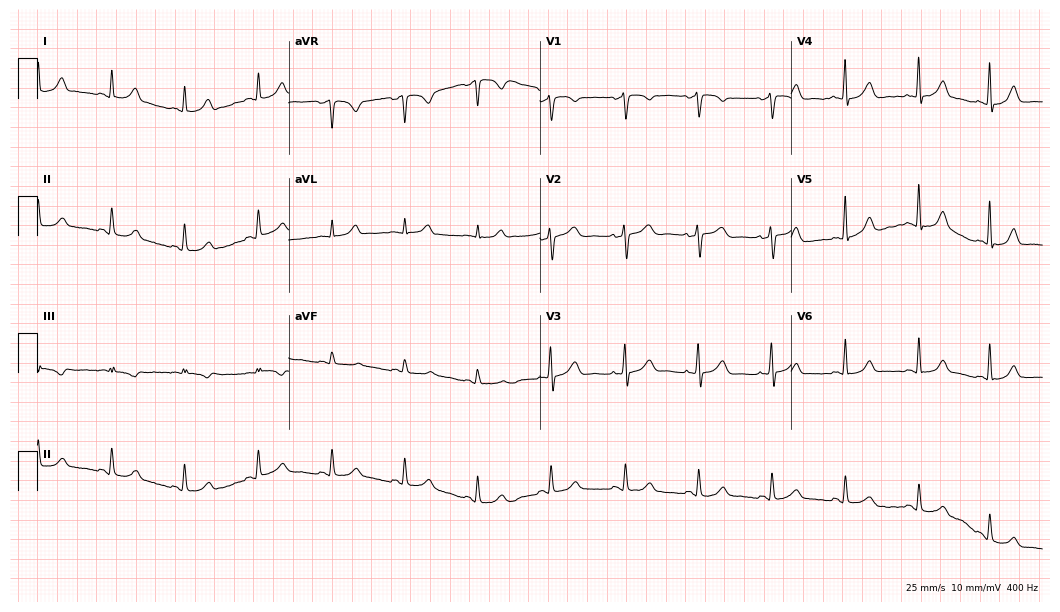
12-lead ECG (10.2-second recording at 400 Hz) from a 52-year-old female. Labelled as a normal ECG.